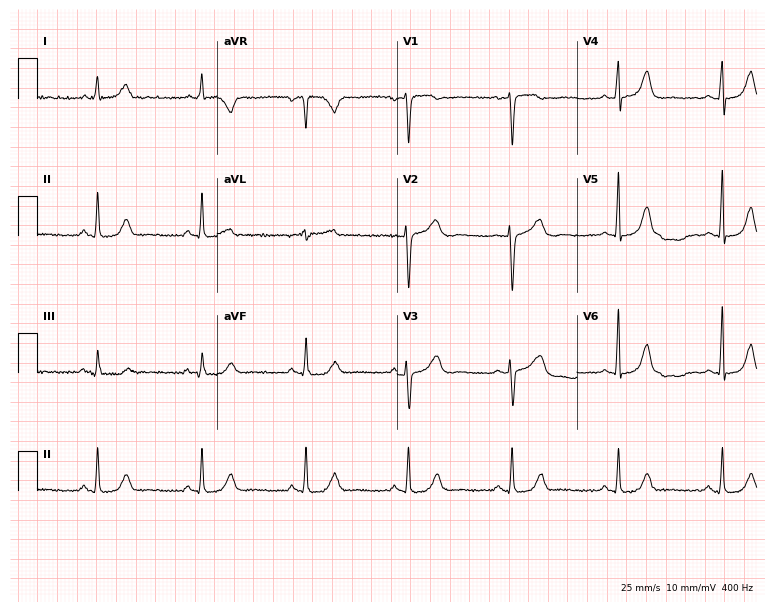
Standard 12-lead ECG recorded from a woman, 54 years old. Read as a normal ECG.